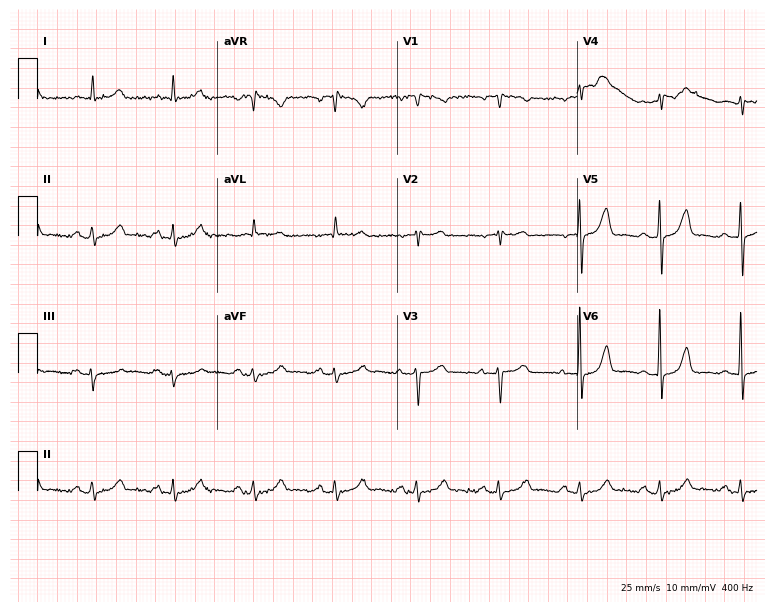
Resting 12-lead electrocardiogram (7.3-second recording at 400 Hz). Patient: a 67-year-old woman. None of these six findings is recorded: first-degree AV block, right bundle branch block, left bundle branch block, sinus bradycardia, atrial fibrillation, sinus tachycardia.